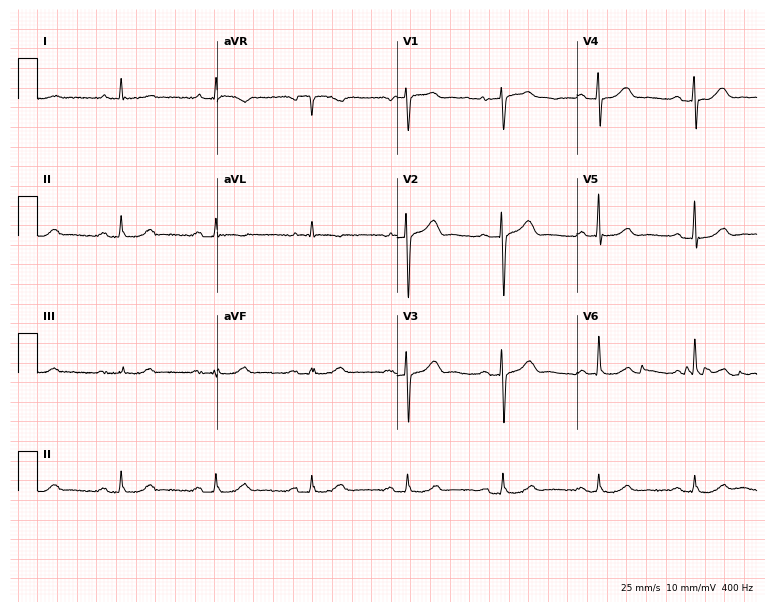
ECG (7.3-second recording at 400 Hz) — a male, 75 years old. Screened for six findings — first-degree AV block, right bundle branch block (RBBB), left bundle branch block (LBBB), sinus bradycardia, atrial fibrillation (AF), sinus tachycardia — none is recorded.